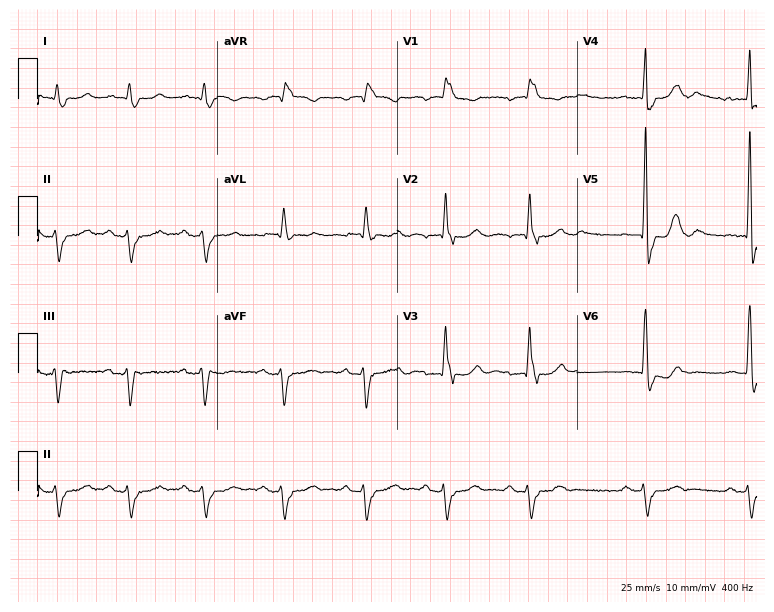
12-lead ECG from a 69-year-old male patient. Shows right bundle branch block (RBBB).